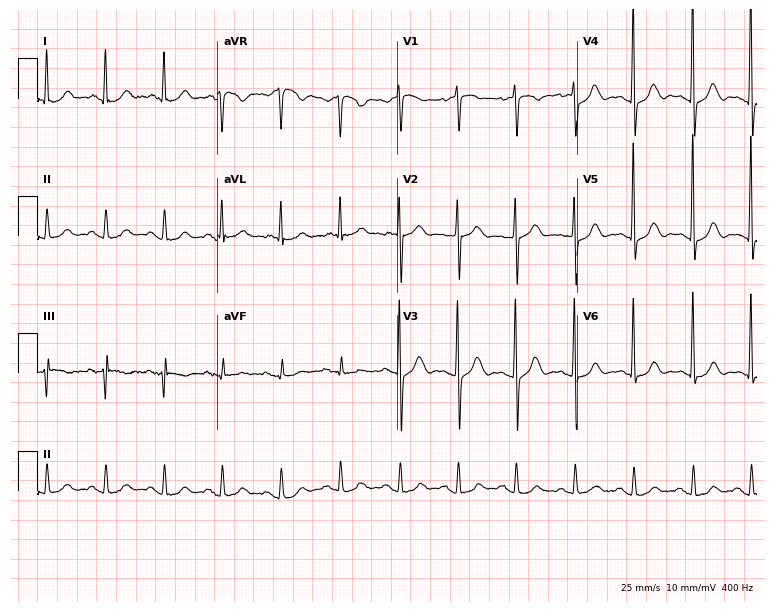
Standard 12-lead ECG recorded from a woman, 71 years old (7.3-second recording at 400 Hz). Read as a normal ECG.